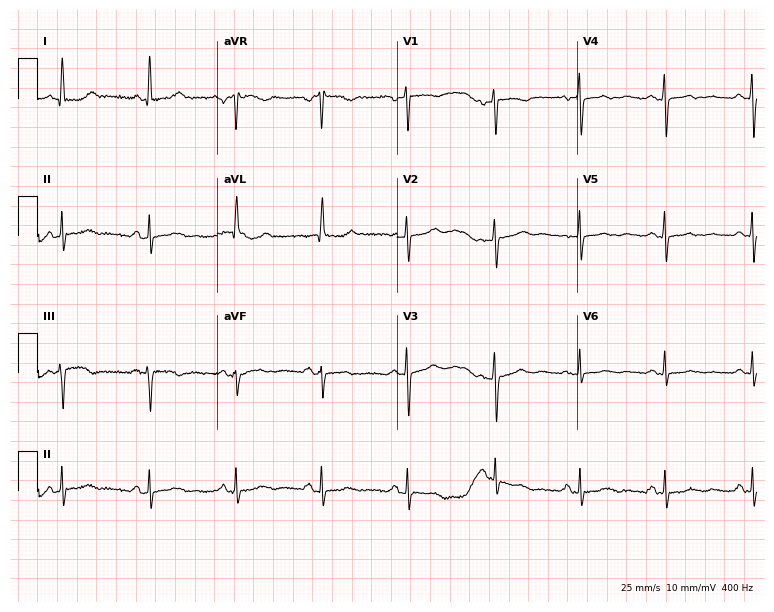
12-lead ECG from a 62-year-old female patient. No first-degree AV block, right bundle branch block, left bundle branch block, sinus bradycardia, atrial fibrillation or sinus tachycardia recorded for this tracing.